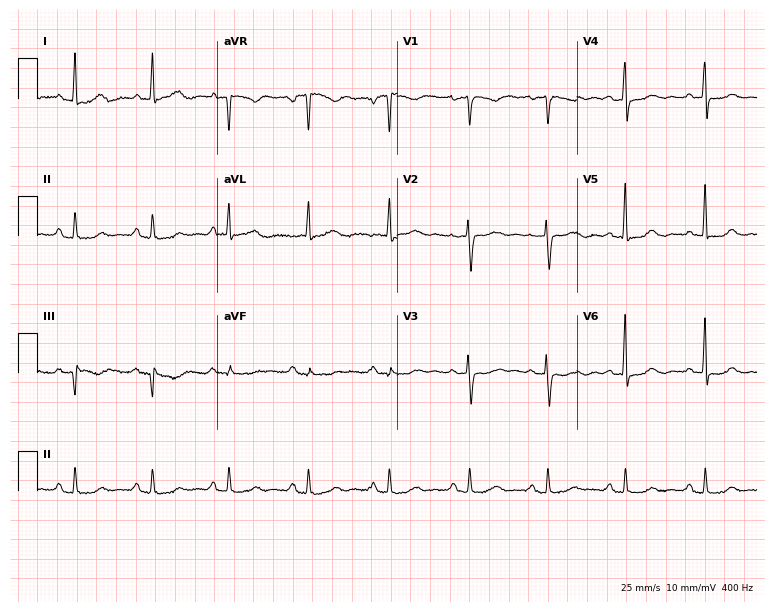
Electrocardiogram (7.3-second recording at 400 Hz), a female, 59 years old. Of the six screened findings (first-degree AV block, right bundle branch block (RBBB), left bundle branch block (LBBB), sinus bradycardia, atrial fibrillation (AF), sinus tachycardia), none is recorded. Only these six findings were labelled.